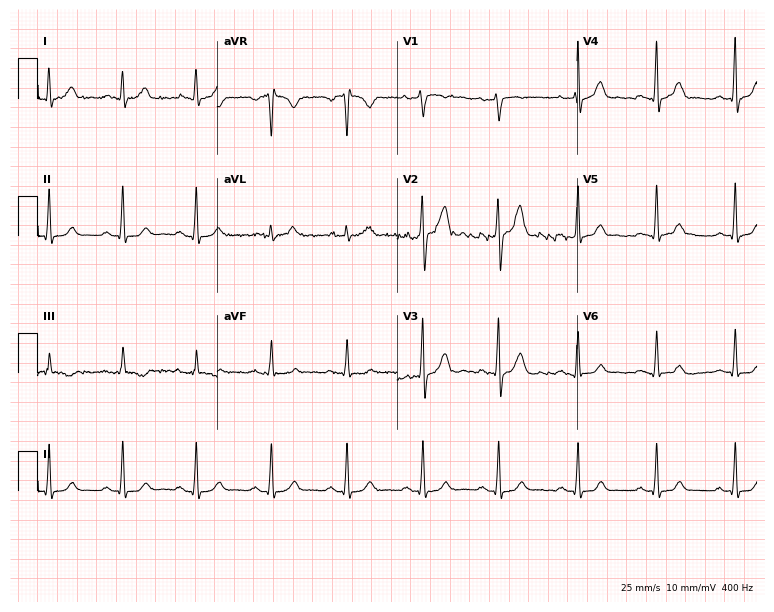
Electrocardiogram (7.3-second recording at 400 Hz), a man, 33 years old. Overall reading on record: normal ECG.